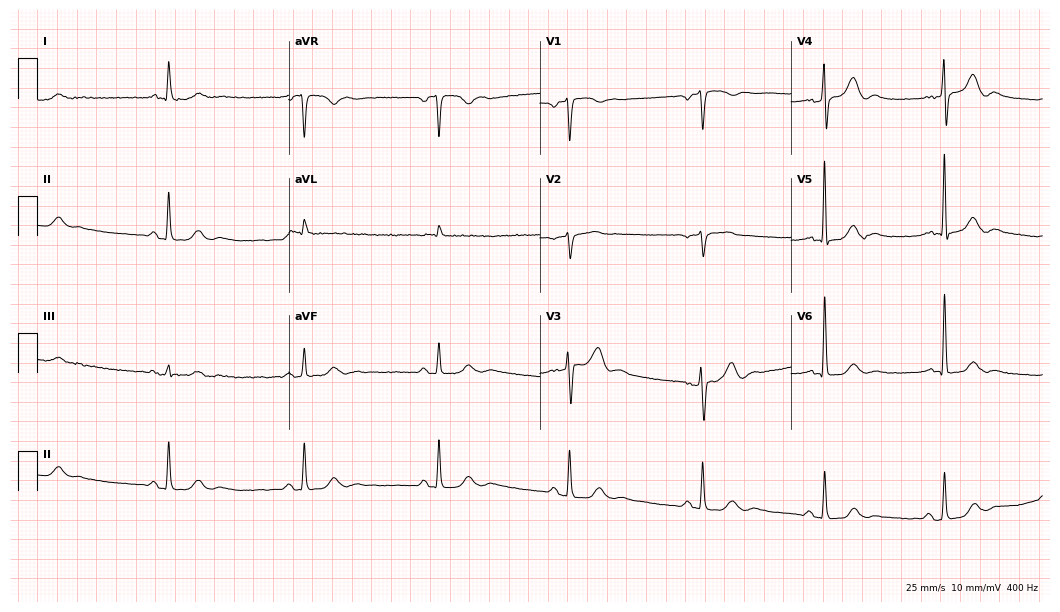
Resting 12-lead electrocardiogram. Patient: a 76-year-old male. None of these six findings is recorded: first-degree AV block, right bundle branch block, left bundle branch block, sinus bradycardia, atrial fibrillation, sinus tachycardia.